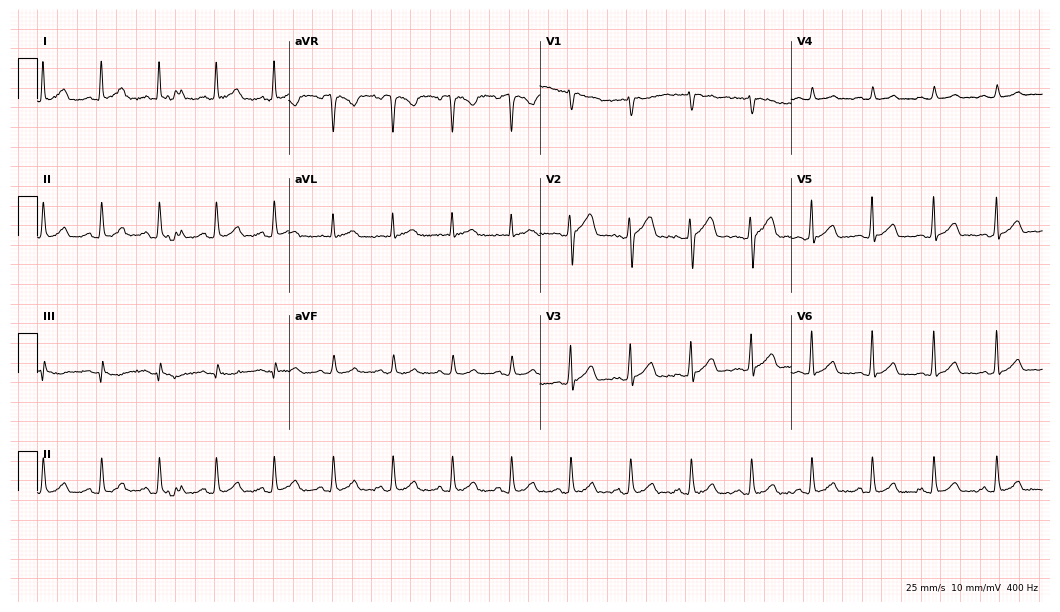
ECG (10.2-second recording at 400 Hz) — a male patient, 27 years old. Labelled as a normal ECG.